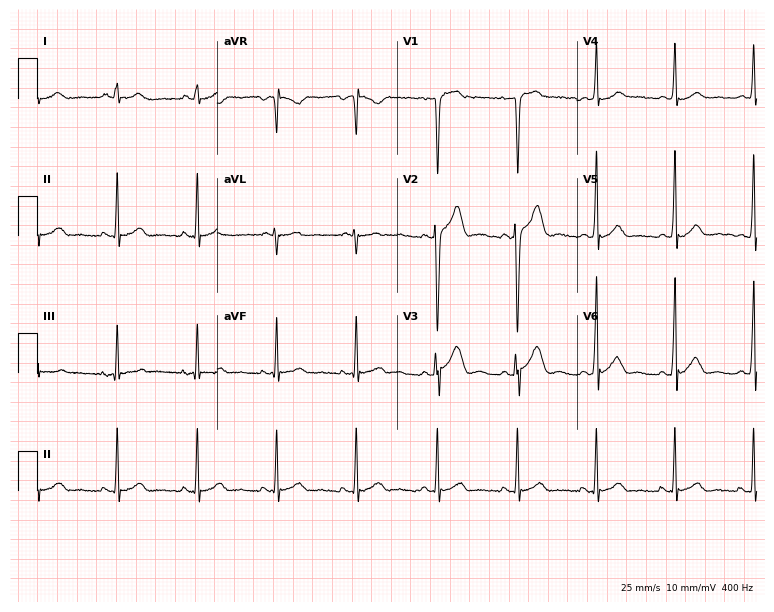
ECG — a 34-year-old man. Labelled as a normal ECG.